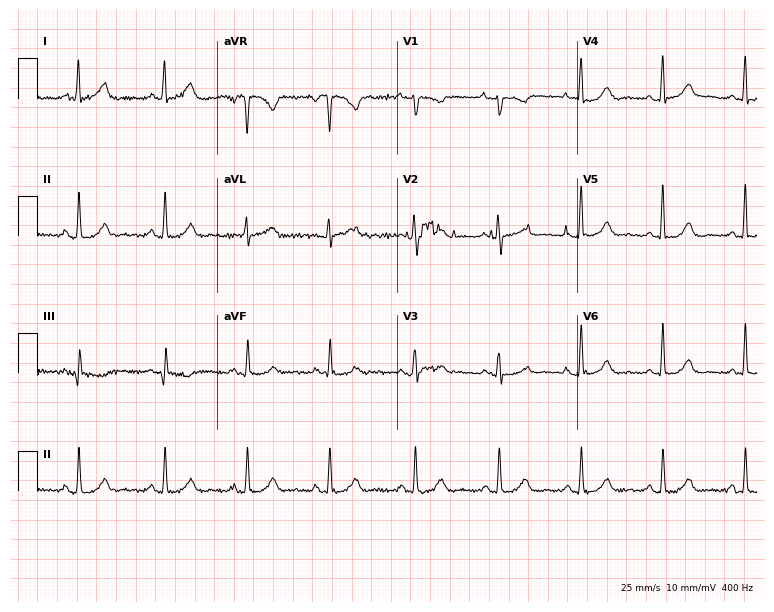
Electrocardiogram (7.3-second recording at 400 Hz), a female, 50 years old. Overall reading on record: normal ECG.